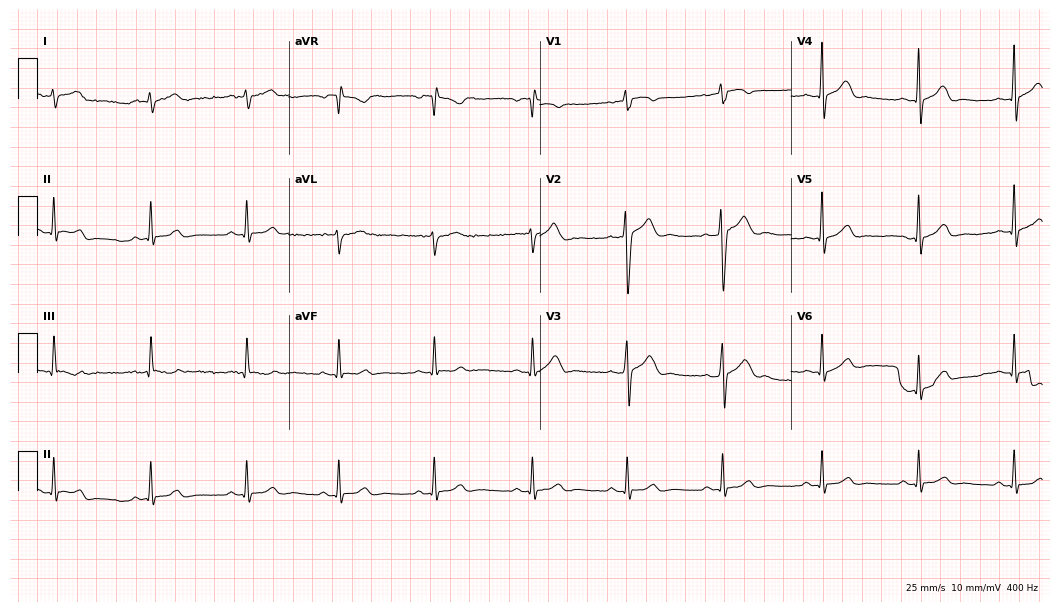
12-lead ECG (10.2-second recording at 400 Hz) from a 24-year-old man. Labelled as a normal ECG.